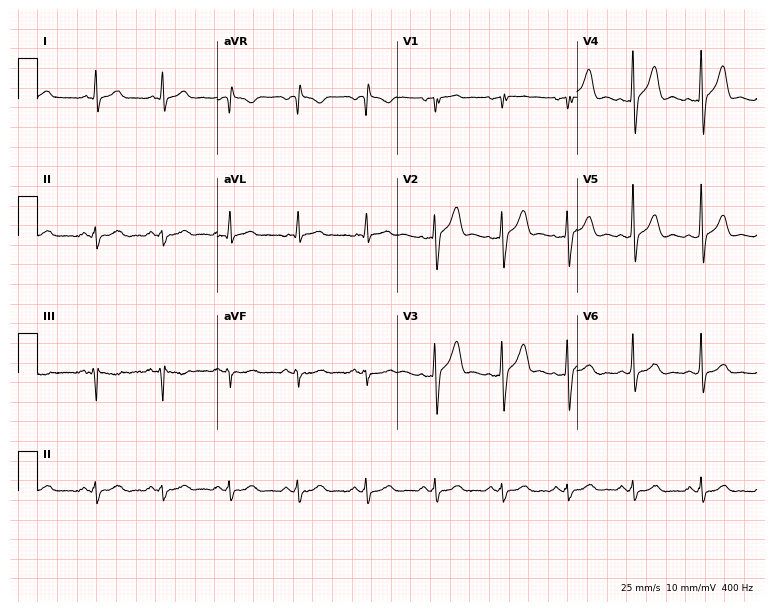
Standard 12-lead ECG recorded from a male, 51 years old. None of these six findings is recorded: first-degree AV block, right bundle branch block, left bundle branch block, sinus bradycardia, atrial fibrillation, sinus tachycardia. Only these six findings were labelled.